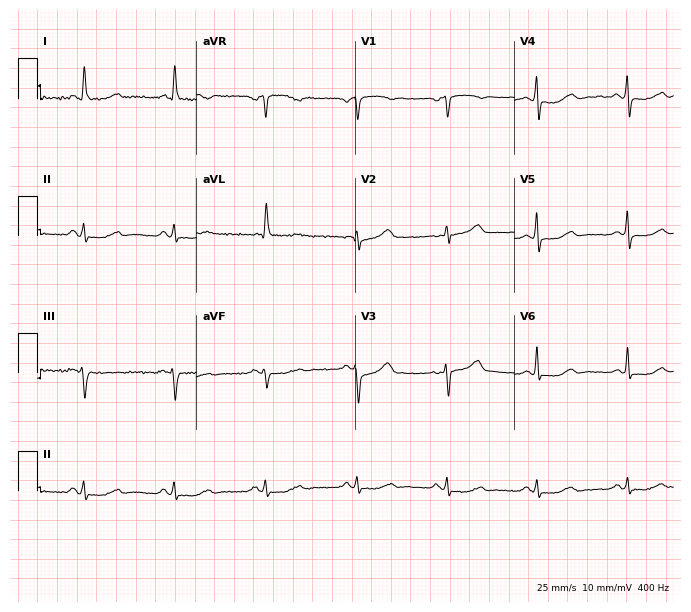
Electrocardiogram (6.5-second recording at 400 Hz), a female patient, 66 years old. Of the six screened findings (first-degree AV block, right bundle branch block, left bundle branch block, sinus bradycardia, atrial fibrillation, sinus tachycardia), none is recorded. Findings outside these six are not listed.